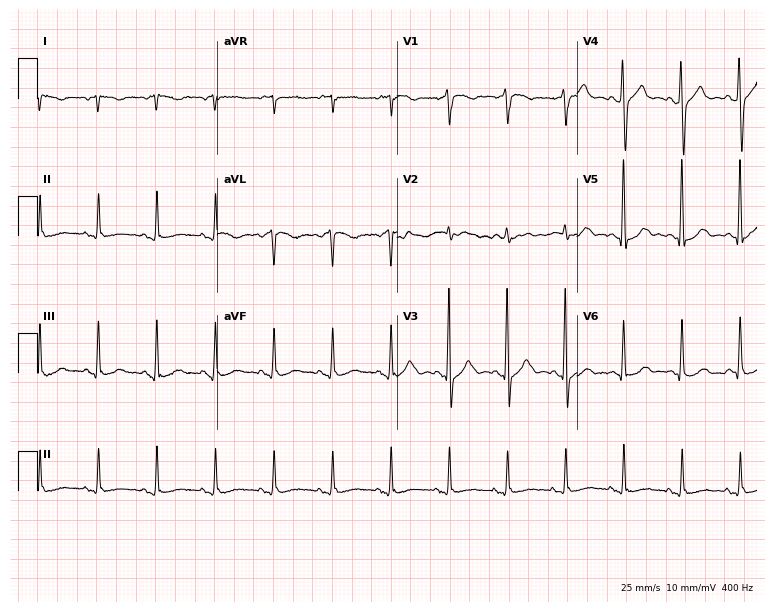
ECG — a woman, 76 years old. Screened for six findings — first-degree AV block, right bundle branch block (RBBB), left bundle branch block (LBBB), sinus bradycardia, atrial fibrillation (AF), sinus tachycardia — none is recorded. Other findings, if any, are not listed.